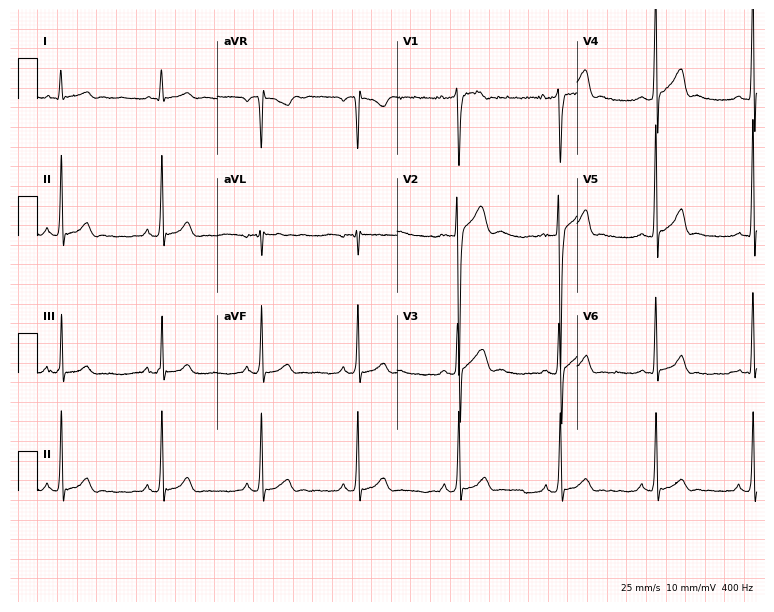
Resting 12-lead electrocardiogram. Patient: an 18-year-old man. None of these six findings is recorded: first-degree AV block, right bundle branch block (RBBB), left bundle branch block (LBBB), sinus bradycardia, atrial fibrillation (AF), sinus tachycardia. Other findings, if any, are not listed.